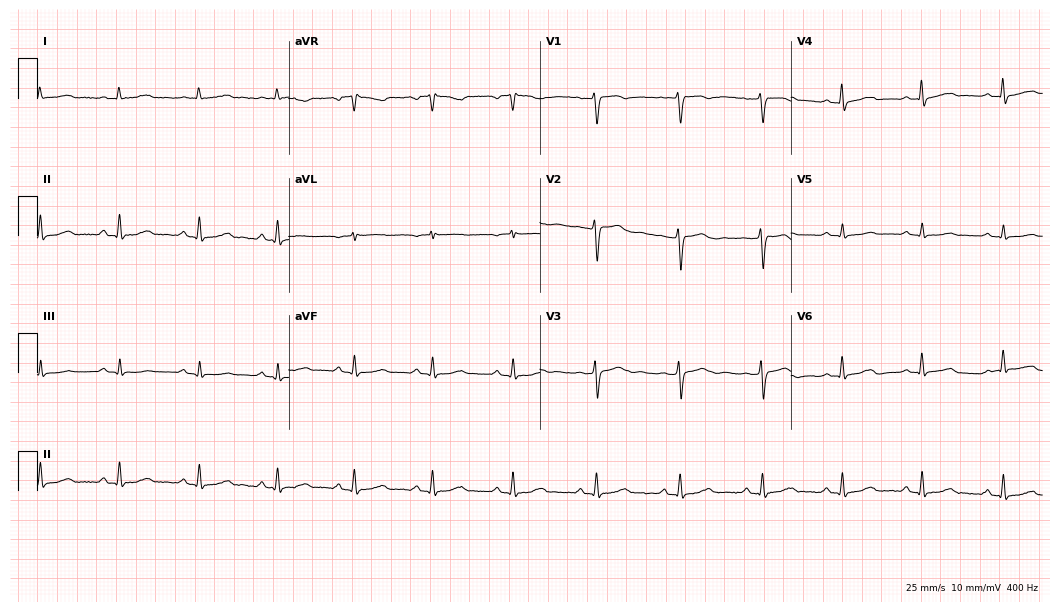
Standard 12-lead ECG recorded from a female, 44 years old (10.2-second recording at 400 Hz). None of these six findings is recorded: first-degree AV block, right bundle branch block (RBBB), left bundle branch block (LBBB), sinus bradycardia, atrial fibrillation (AF), sinus tachycardia. Only these six findings were labelled.